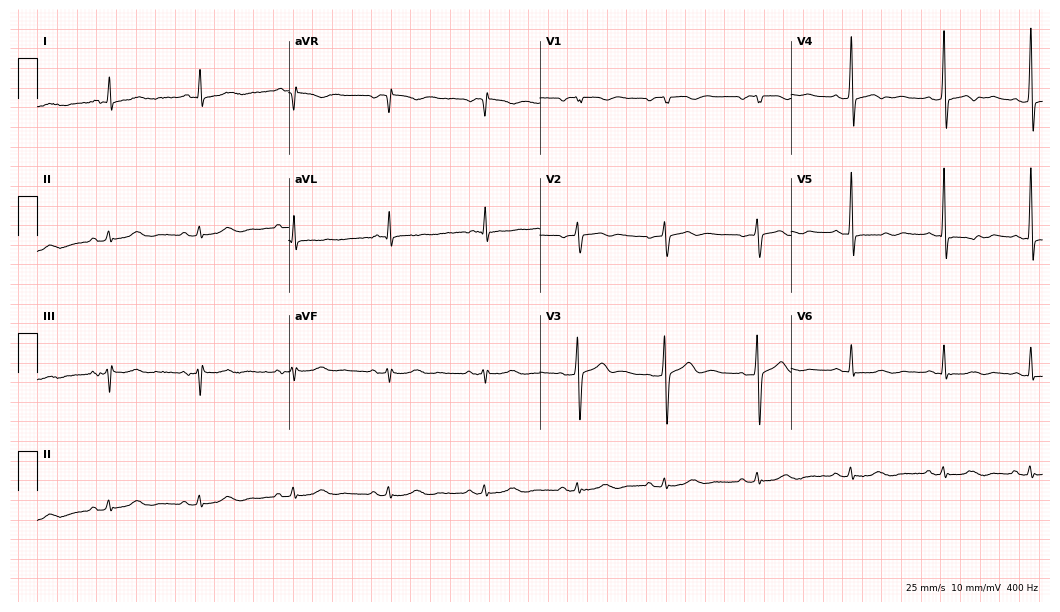
12-lead ECG (10.2-second recording at 400 Hz) from a woman, 51 years old. Screened for six findings — first-degree AV block, right bundle branch block, left bundle branch block, sinus bradycardia, atrial fibrillation, sinus tachycardia — none is recorded. Other findings, if any, are not listed.